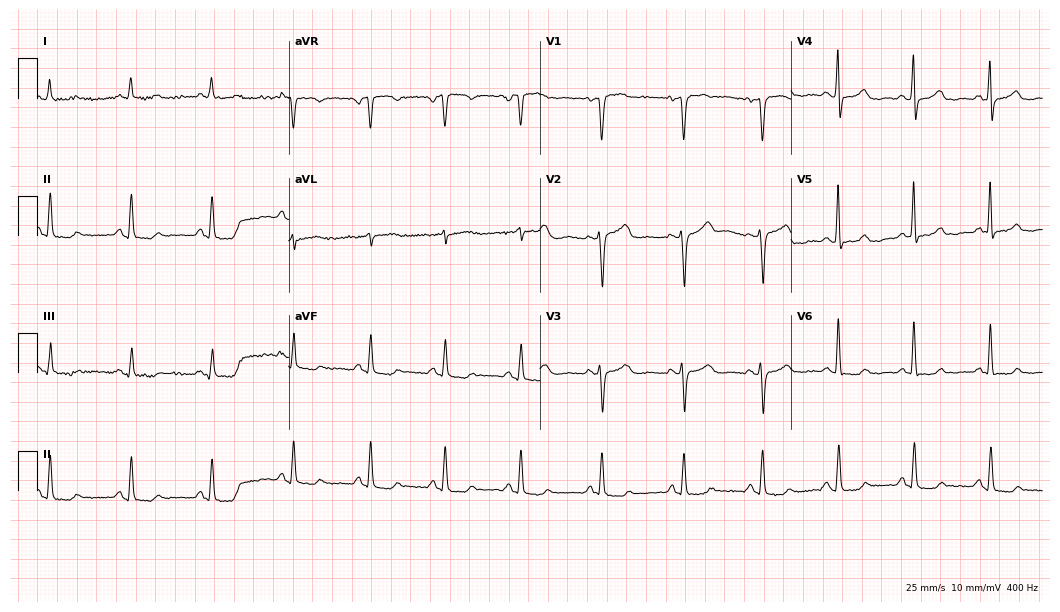
12-lead ECG from a 54-year-old female patient (10.2-second recording at 400 Hz). No first-degree AV block, right bundle branch block (RBBB), left bundle branch block (LBBB), sinus bradycardia, atrial fibrillation (AF) or sinus tachycardia recorded for this tracing.